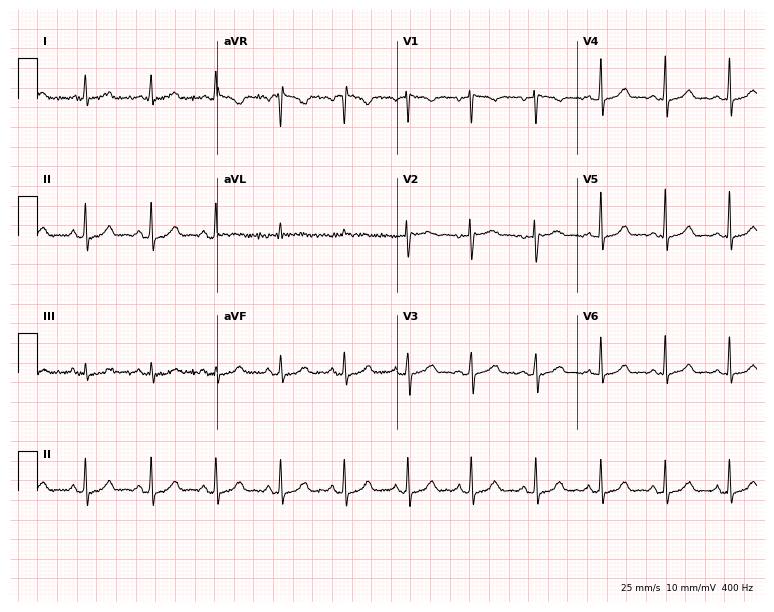
ECG (7.3-second recording at 400 Hz) — a 30-year-old female patient. Labelled as a normal ECG.